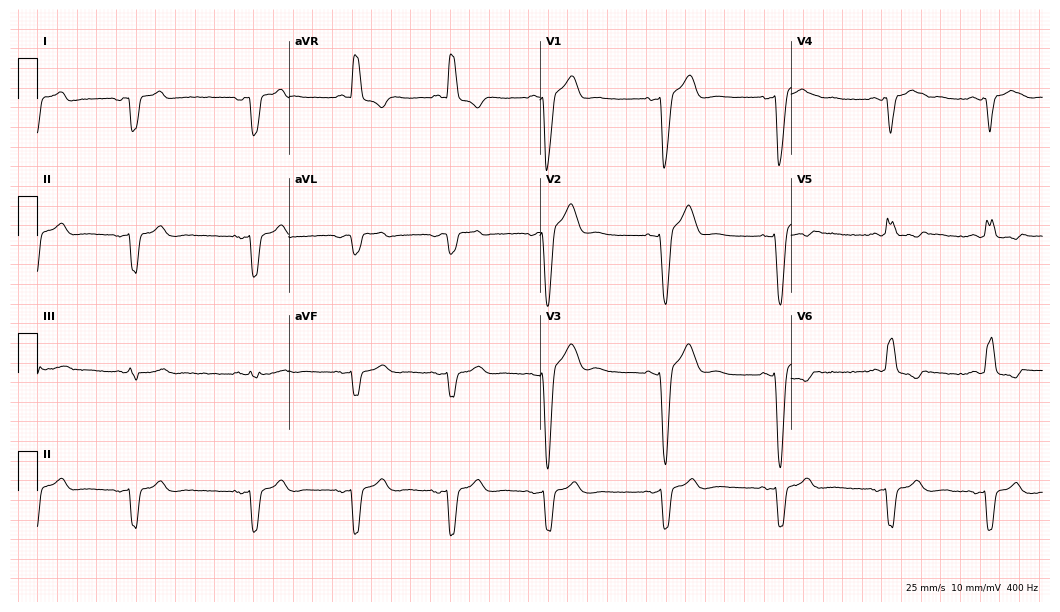
Standard 12-lead ECG recorded from a male patient, 53 years old (10.2-second recording at 400 Hz). None of these six findings is recorded: first-degree AV block, right bundle branch block, left bundle branch block, sinus bradycardia, atrial fibrillation, sinus tachycardia.